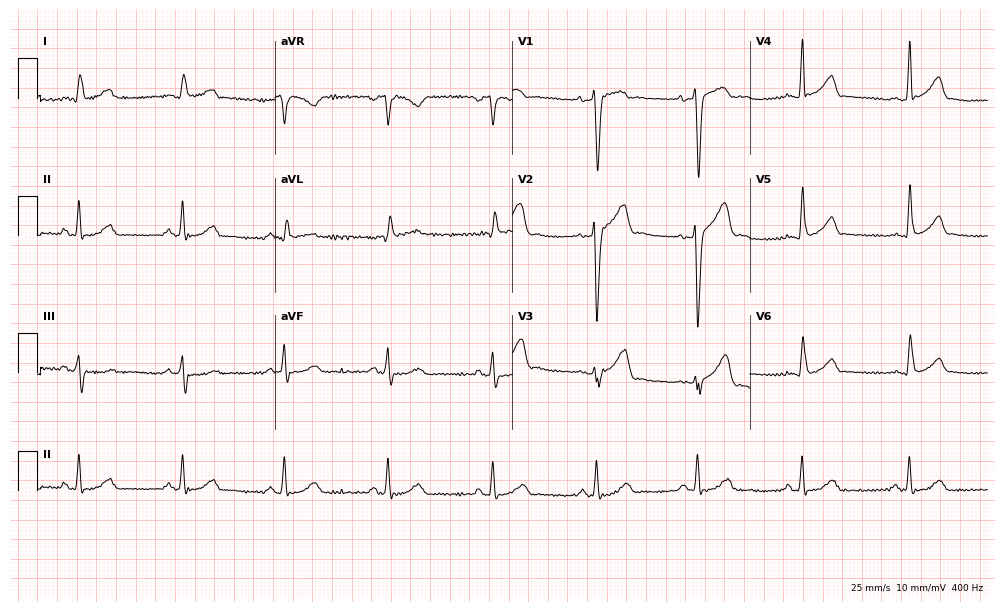
Resting 12-lead electrocardiogram (9.7-second recording at 400 Hz). Patient: a male, 60 years old. None of these six findings is recorded: first-degree AV block, right bundle branch block, left bundle branch block, sinus bradycardia, atrial fibrillation, sinus tachycardia. Other findings, if any, are not listed.